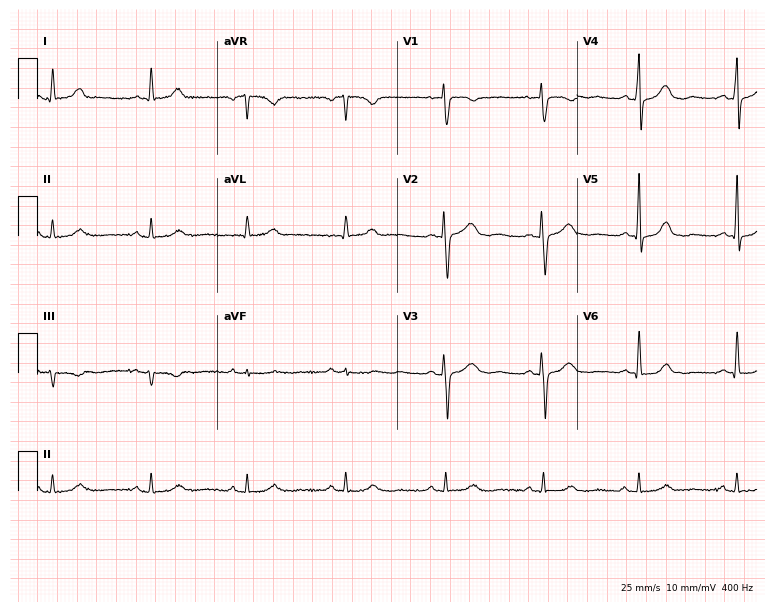
Resting 12-lead electrocardiogram. Patient: a 54-year-old female. Read as a normal ECG.